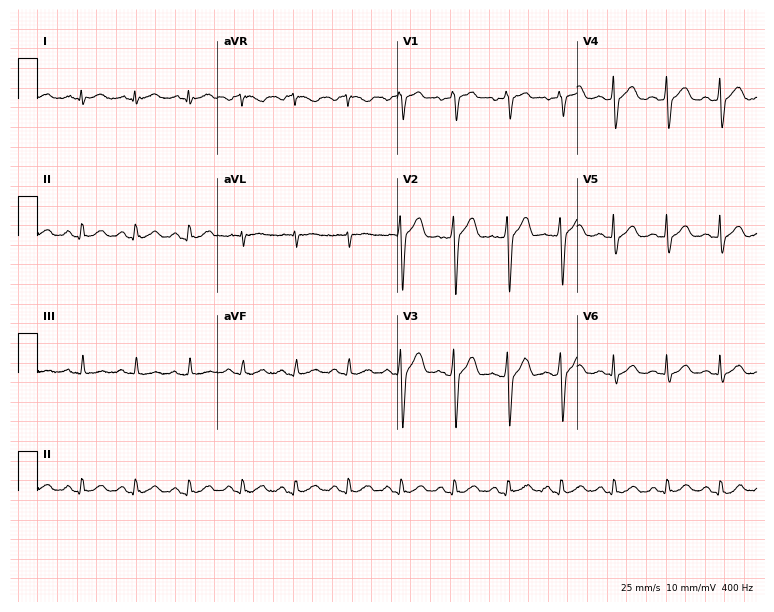
12-lead ECG (7.3-second recording at 400 Hz) from a man, 51 years old. Screened for six findings — first-degree AV block, right bundle branch block, left bundle branch block, sinus bradycardia, atrial fibrillation, sinus tachycardia — none is recorded.